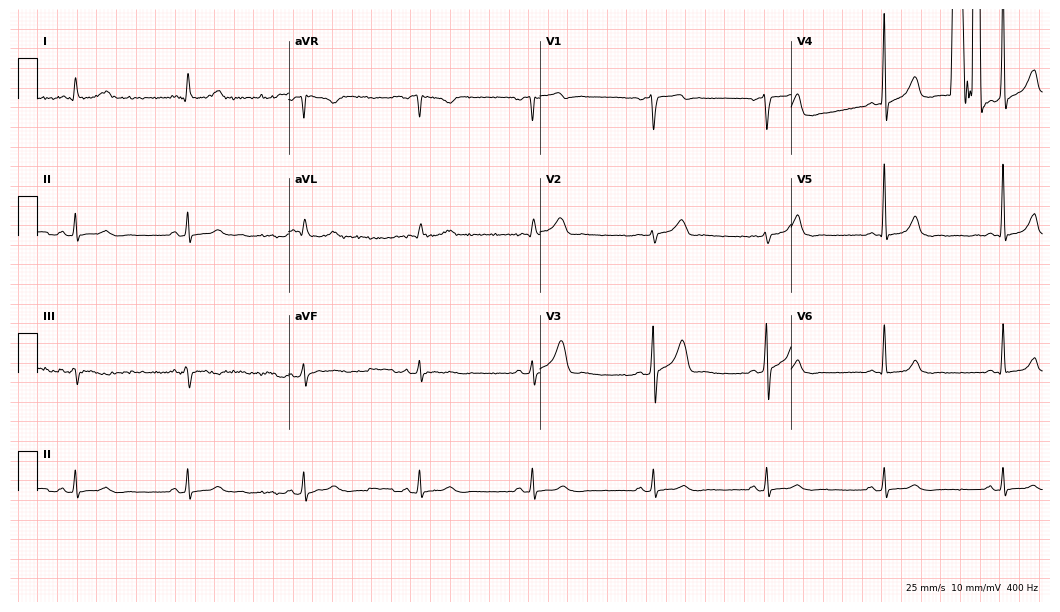
ECG — a man, 64 years old. Labelled as a normal ECG.